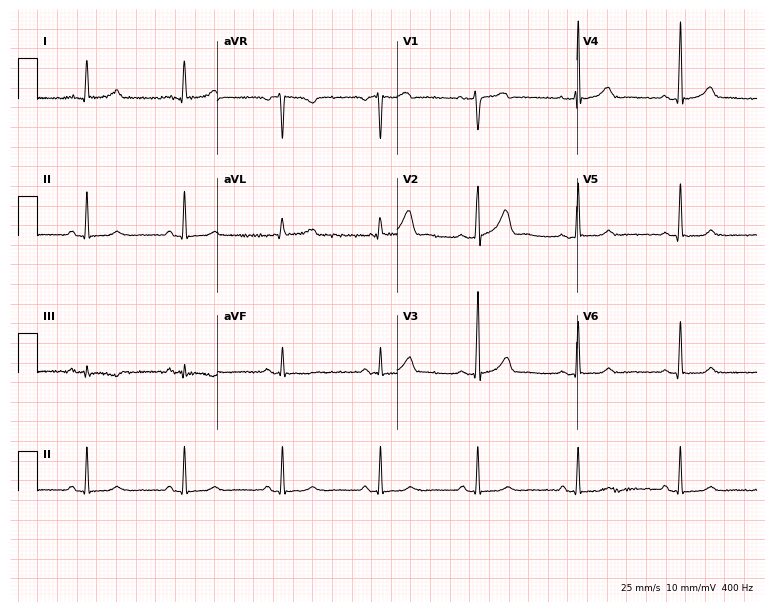
12-lead ECG (7.3-second recording at 400 Hz) from a female, 34 years old. Screened for six findings — first-degree AV block, right bundle branch block, left bundle branch block, sinus bradycardia, atrial fibrillation, sinus tachycardia — none is recorded. Only these six findings were labelled.